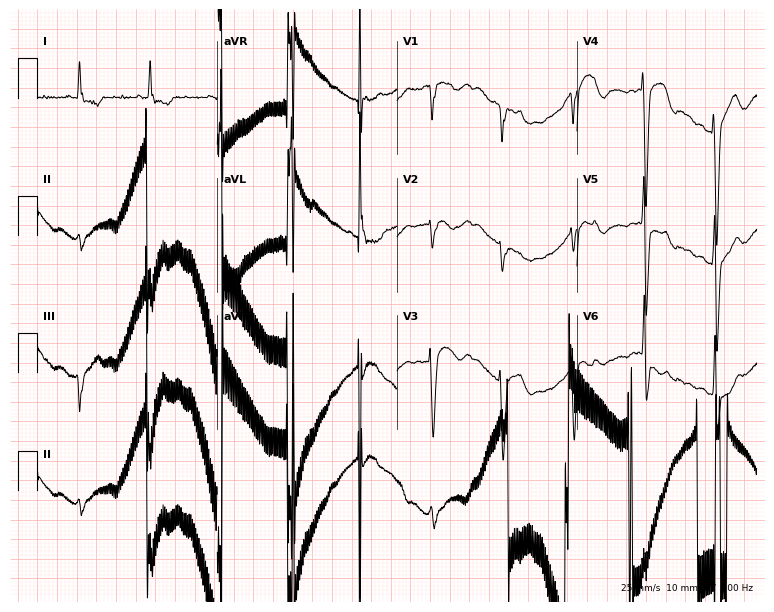
ECG (7.3-second recording at 400 Hz) — a man, 67 years old. Screened for six findings — first-degree AV block, right bundle branch block, left bundle branch block, sinus bradycardia, atrial fibrillation, sinus tachycardia — none is recorded.